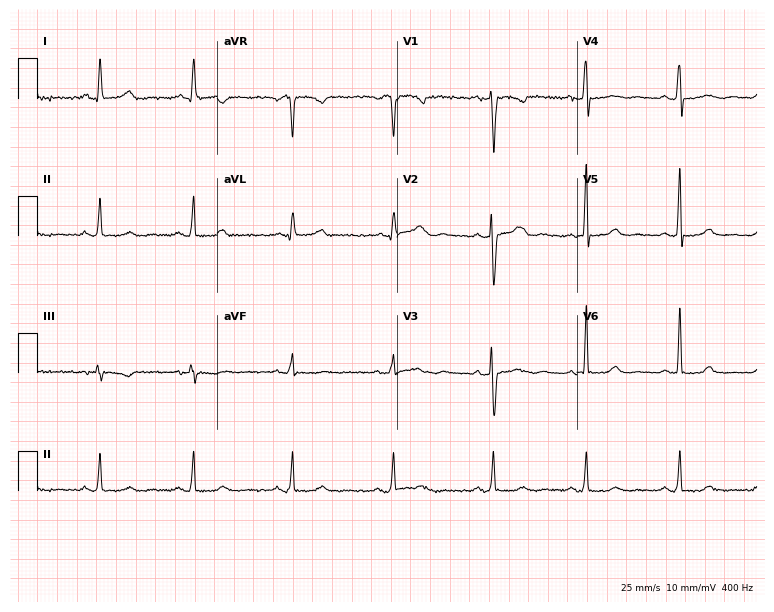
12-lead ECG from a 42-year-old female patient (7.3-second recording at 400 Hz). Recorded interpretation: within normal limits.